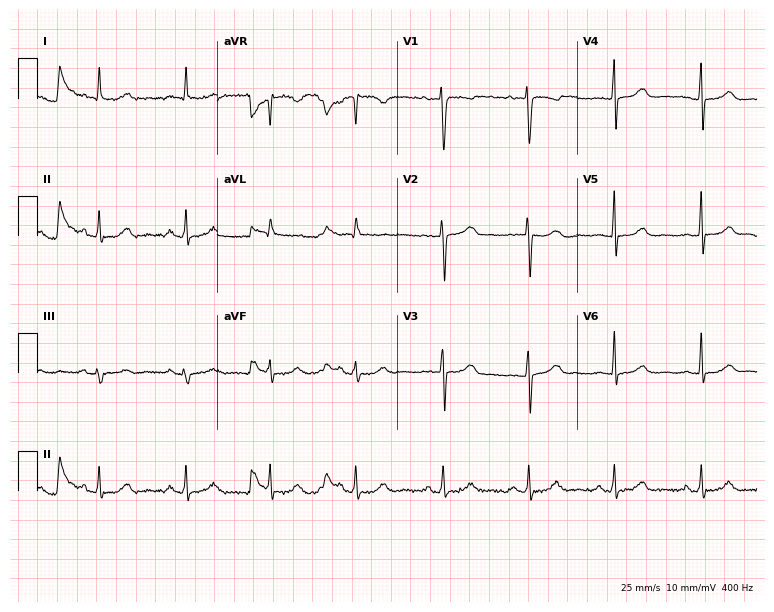
ECG — a 32-year-old woman. Screened for six findings — first-degree AV block, right bundle branch block, left bundle branch block, sinus bradycardia, atrial fibrillation, sinus tachycardia — none is recorded.